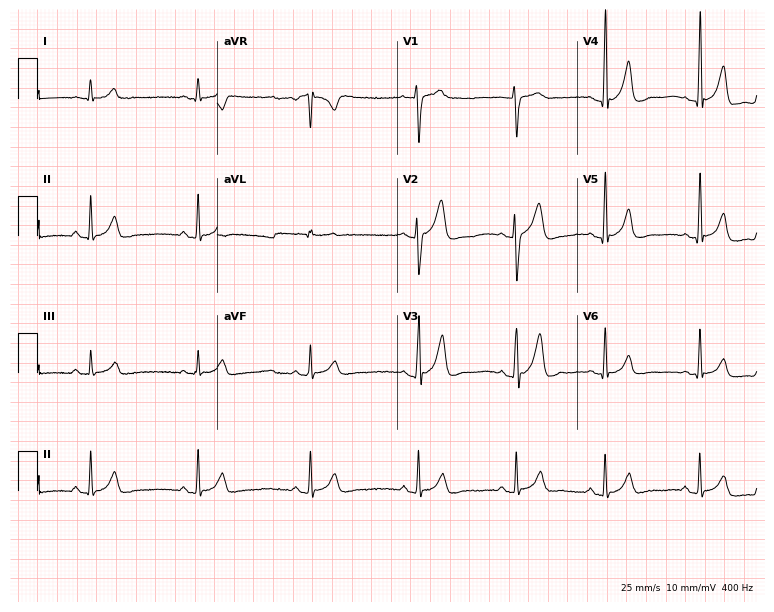
12-lead ECG from a 19-year-old male. Screened for six findings — first-degree AV block, right bundle branch block, left bundle branch block, sinus bradycardia, atrial fibrillation, sinus tachycardia — none is recorded. Only these six findings were labelled.